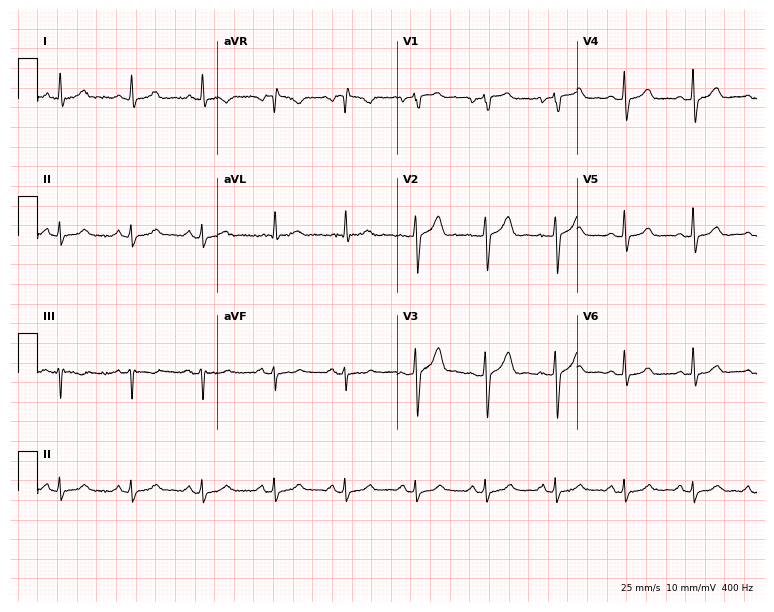
Standard 12-lead ECG recorded from a 56-year-old male patient (7.3-second recording at 400 Hz). Read as a normal ECG.